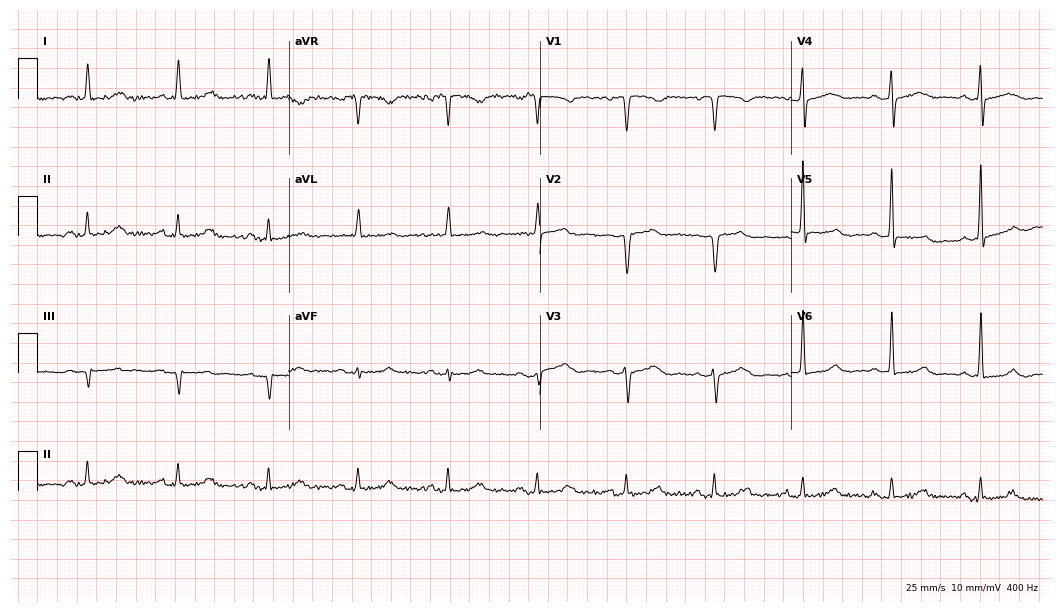
12-lead ECG from a female patient, 76 years old (10.2-second recording at 400 Hz). Recorded interpretation: within normal limits.